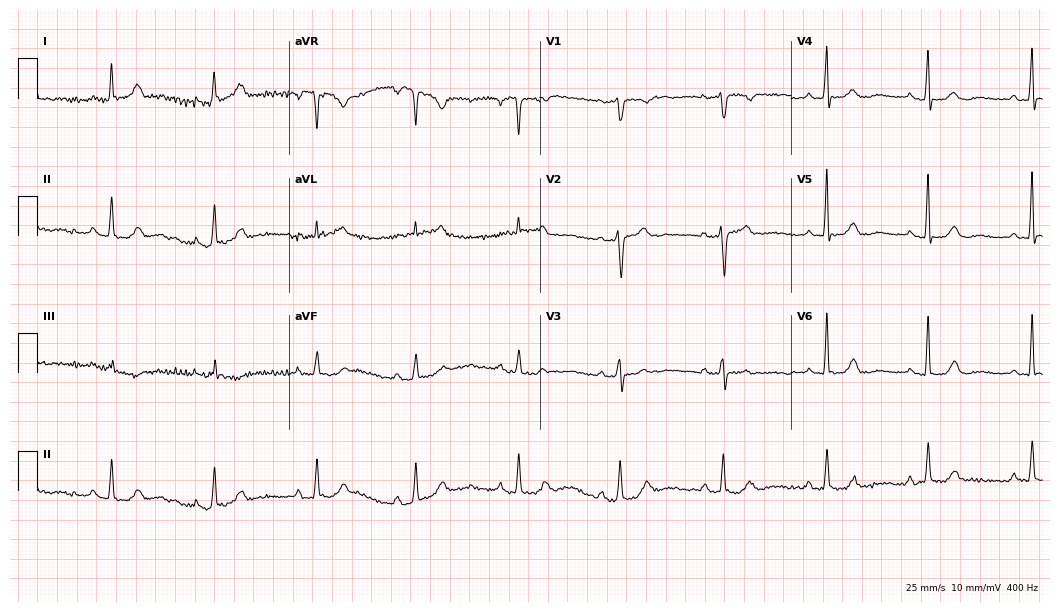
Resting 12-lead electrocardiogram (10.2-second recording at 400 Hz). Patient: an 81-year-old woman. Read as a normal ECG.